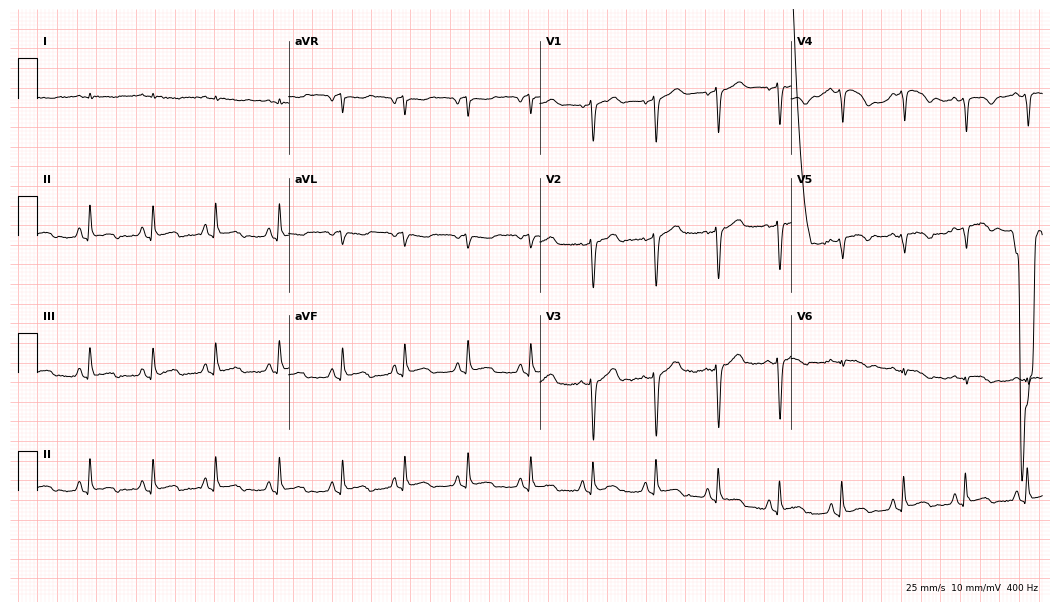
Electrocardiogram (10.2-second recording at 400 Hz), a 68-year-old female. Of the six screened findings (first-degree AV block, right bundle branch block (RBBB), left bundle branch block (LBBB), sinus bradycardia, atrial fibrillation (AF), sinus tachycardia), none is recorded.